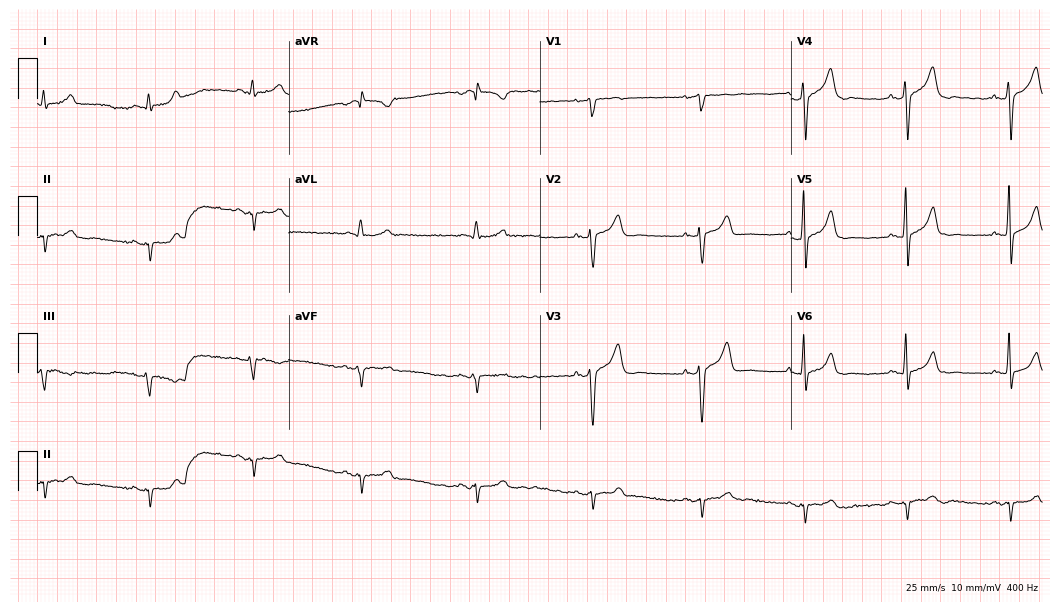
ECG — a male patient, 41 years old. Screened for six findings — first-degree AV block, right bundle branch block, left bundle branch block, sinus bradycardia, atrial fibrillation, sinus tachycardia — none is recorded. Findings outside these six are not listed.